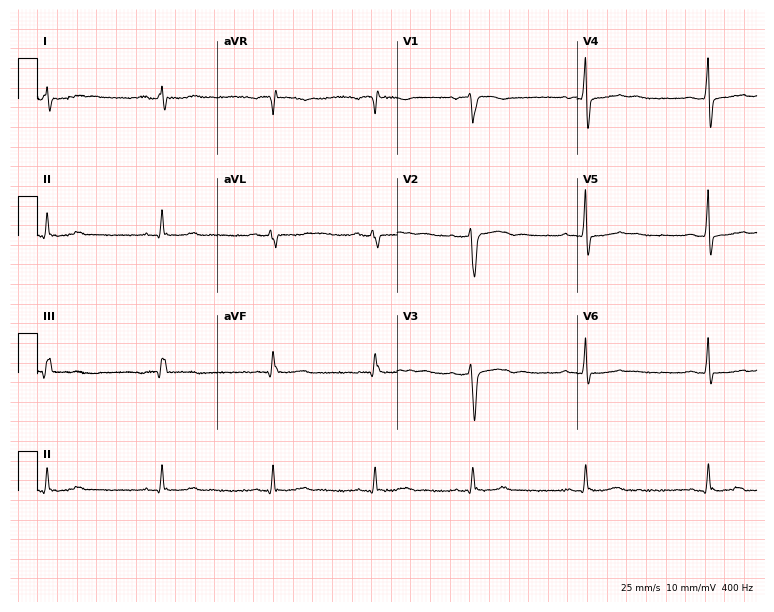
12-lead ECG (7.3-second recording at 400 Hz) from a 75-year-old male. Screened for six findings — first-degree AV block, right bundle branch block (RBBB), left bundle branch block (LBBB), sinus bradycardia, atrial fibrillation (AF), sinus tachycardia — none is recorded. Other findings, if any, are not listed.